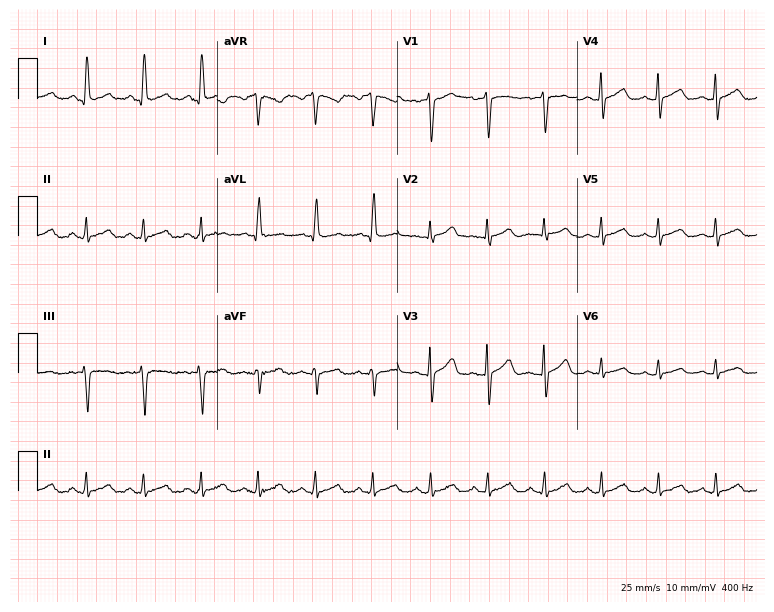
Standard 12-lead ECG recorded from a female patient, 39 years old (7.3-second recording at 400 Hz). The tracing shows sinus tachycardia (a sinus rate of 100 beats per minute or more).